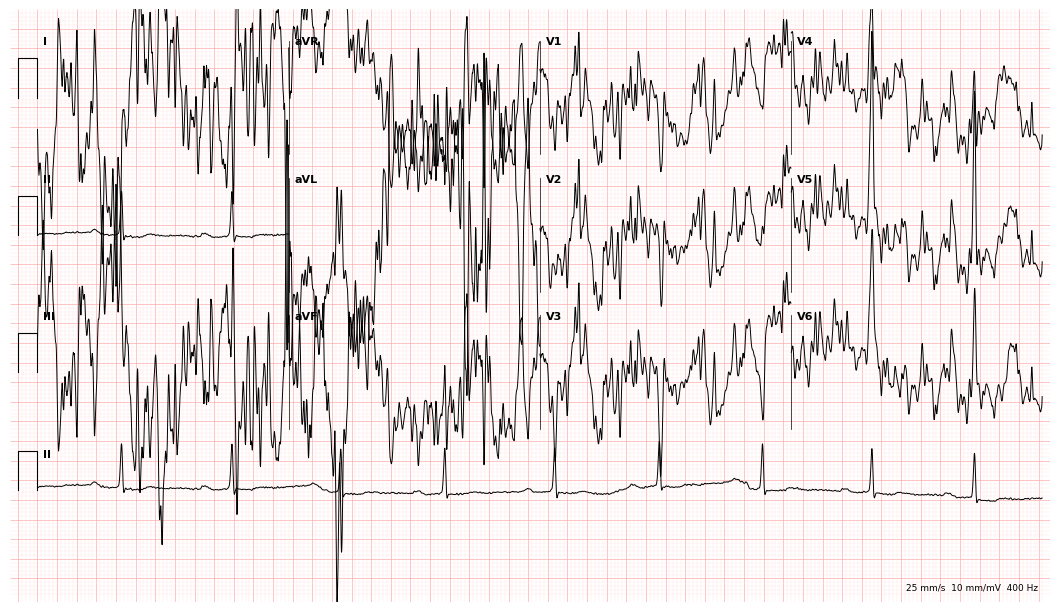
ECG (10.2-second recording at 400 Hz) — an 82-year-old man. Screened for six findings — first-degree AV block, right bundle branch block (RBBB), left bundle branch block (LBBB), sinus bradycardia, atrial fibrillation (AF), sinus tachycardia — none is recorded.